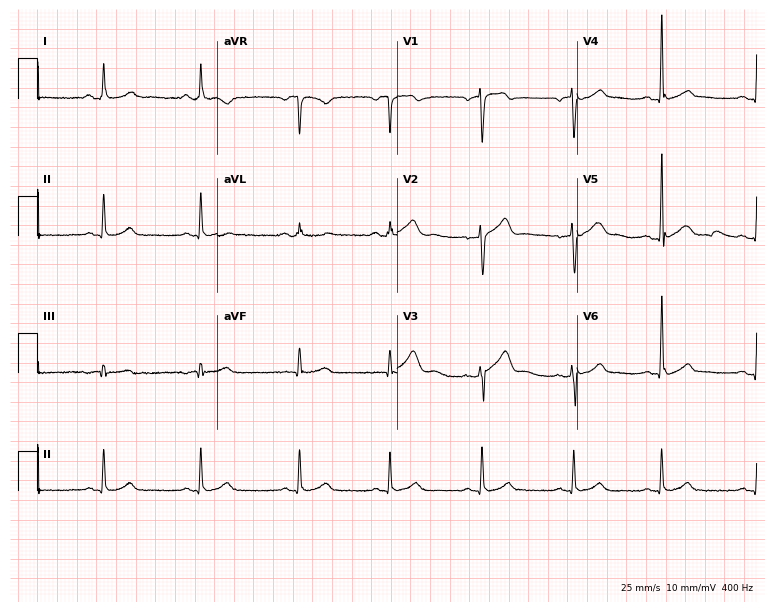
Electrocardiogram, a 47-year-old male patient. Overall reading on record: normal ECG.